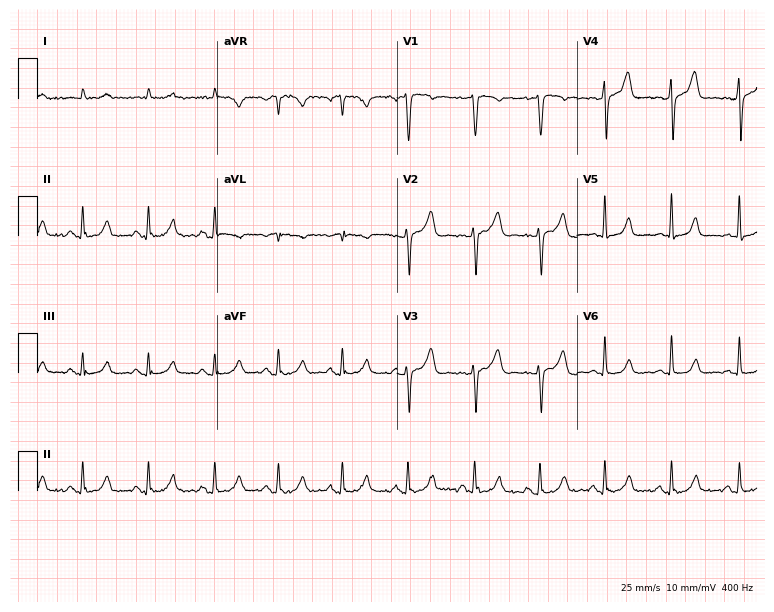
ECG (7.3-second recording at 400 Hz) — a 47-year-old man. Screened for six findings — first-degree AV block, right bundle branch block, left bundle branch block, sinus bradycardia, atrial fibrillation, sinus tachycardia — none is recorded. Only these six findings were labelled.